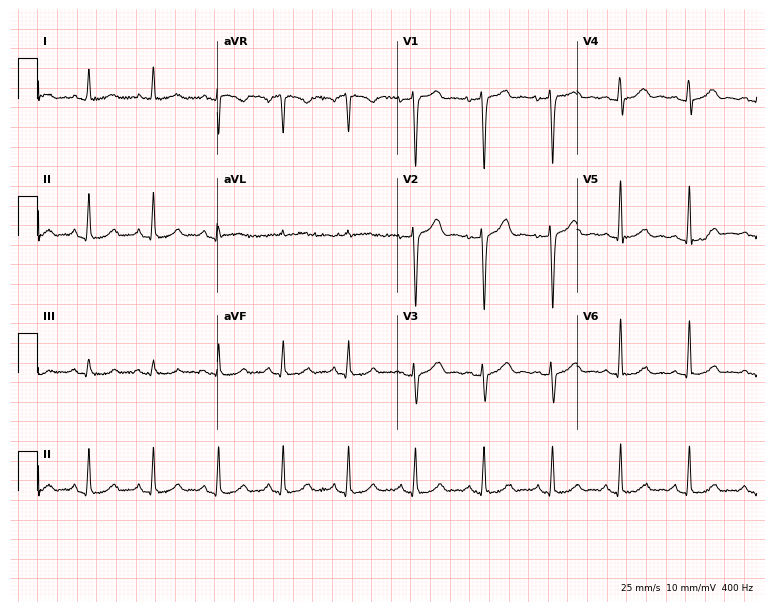
ECG — a male patient, 54 years old. Labelled as a normal ECG.